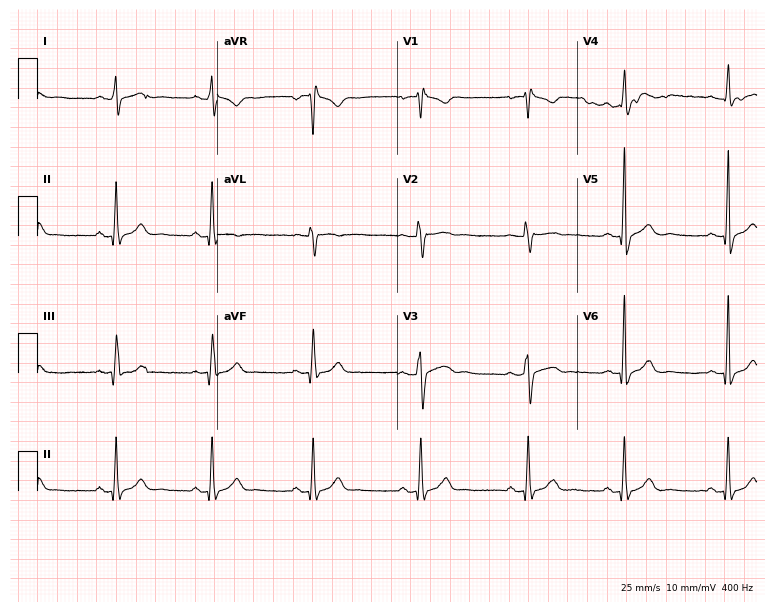
12-lead ECG from a 38-year-old male. No first-degree AV block, right bundle branch block, left bundle branch block, sinus bradycardia, atrial fibrillation or sinus tachycardia recorded for this tracing.